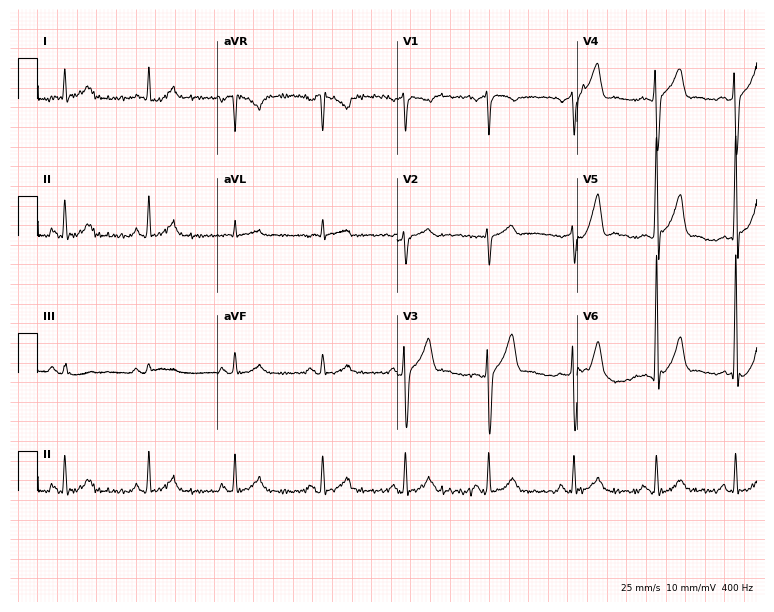
Electrocardiogram (7.3-second recording at 400 Hz), a male patient, 43 years old. Of the six screened findings (first-degree AV block, right bundle branch block (RBBB), left bundle branch block (LBBB), sinus bradycardia, atrial fibrillation (AF), sinus tachycardia), none is recorded.